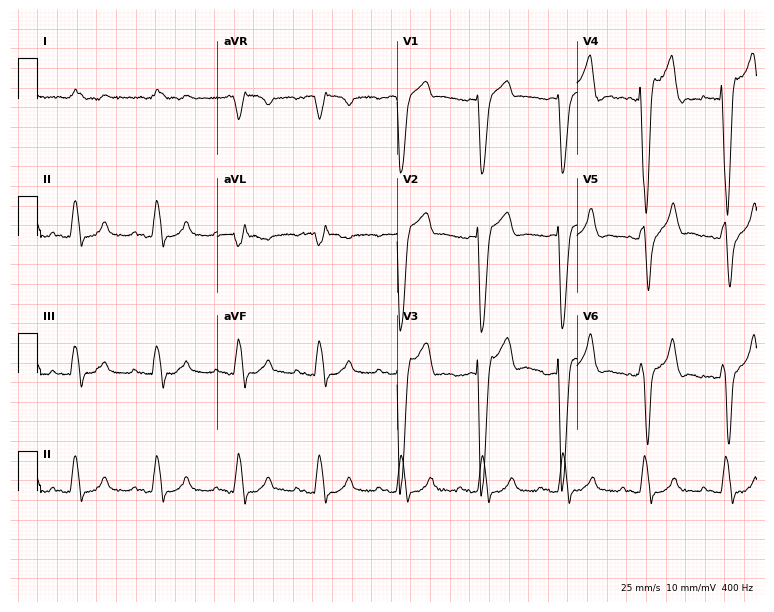
Resting 12-lead electrocardiogram (7.3-second recording at 400 Hz). Patient: a male, 82 years old. The tracing shows left bundle branch block.